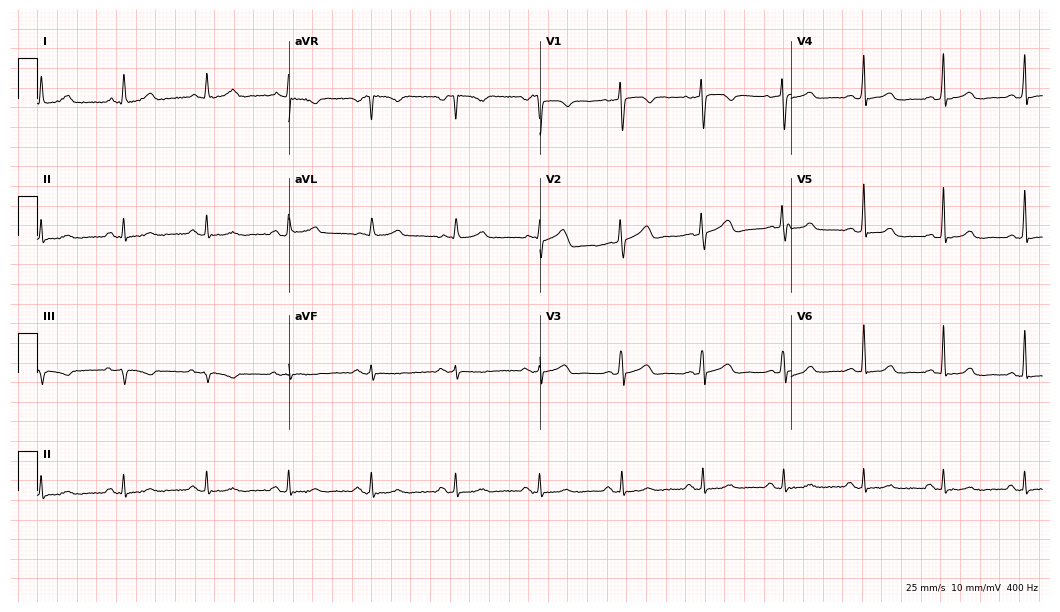
Resting 12-lead electrocardiogram (10.2-second recording at 400 Hz). Patient: a 57-year-old woman. Read as a normal ECG.